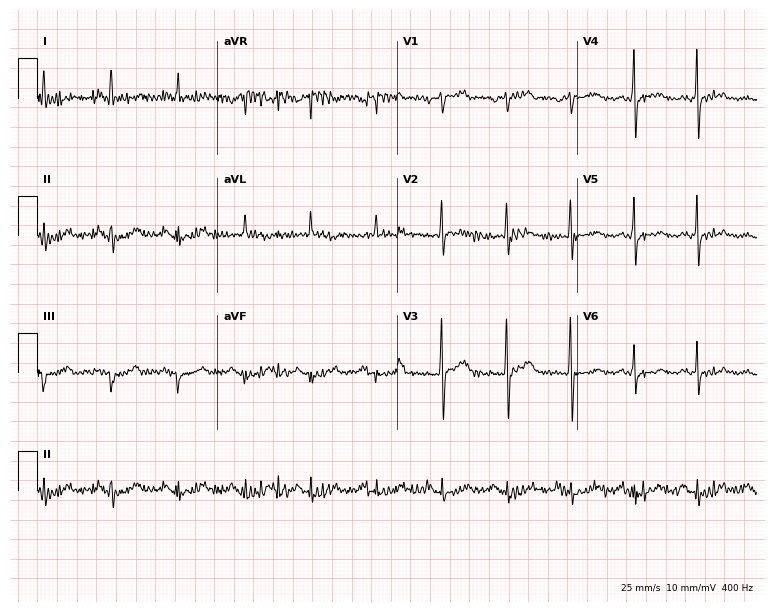
12-lead ECG from a 64-year-old female. Screened for six findings — first-degree AV block, right bundle branch block, left bundle branch block, sinus bradycardia, atrial fibrillation, sinus tachycardia — none is recorded. Findings outside these six are not listed.